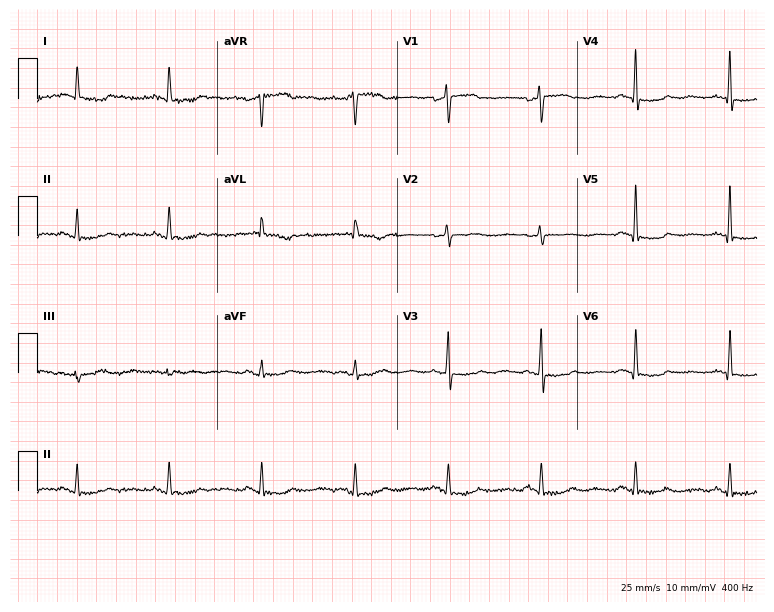
Electrocardiogram (7.3-second recording at 400 Hz), a 63-year-old female. Of the six screened findings (first-degree AV block, right bundle branch block, left bundle branch block, sinus bradycardia, atrial fibrillation, sinus tachycardia), none is recorded.